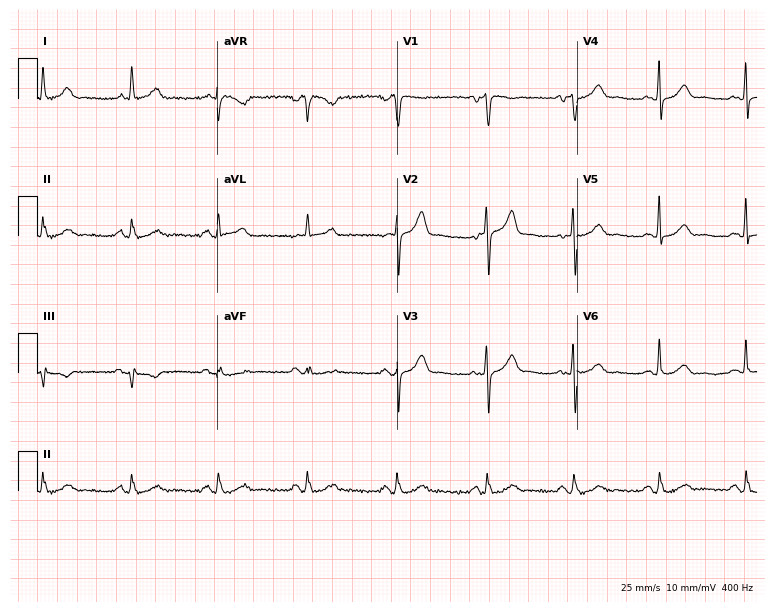
12-lead ECG from a man, 60 years old. No first-degree AV block, right bundle branch block, left bundle branch block, sinus bradycardia, atrial fibrillation or sinus tachycardia recorded for this tracing.